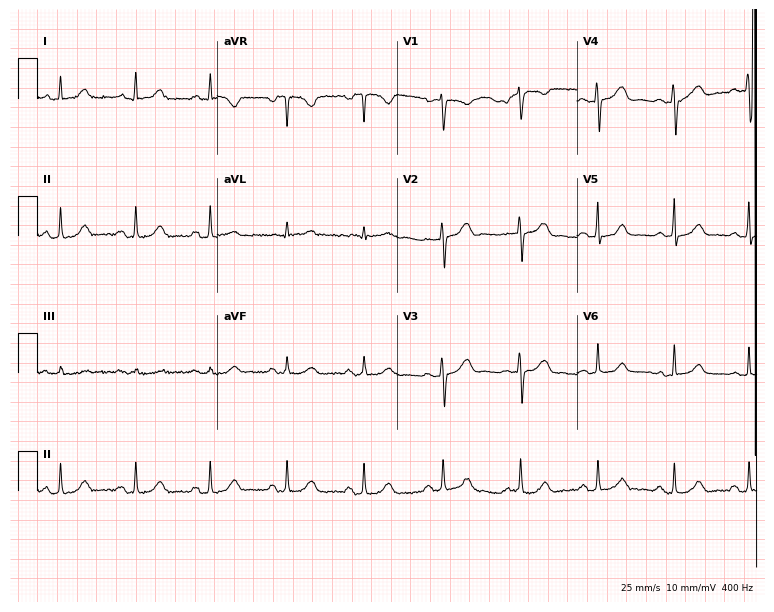
12-lead ECG from a 43-year-old woman (7.3-second recording at 400 Hz). Recorded interpretation: within normal limits.